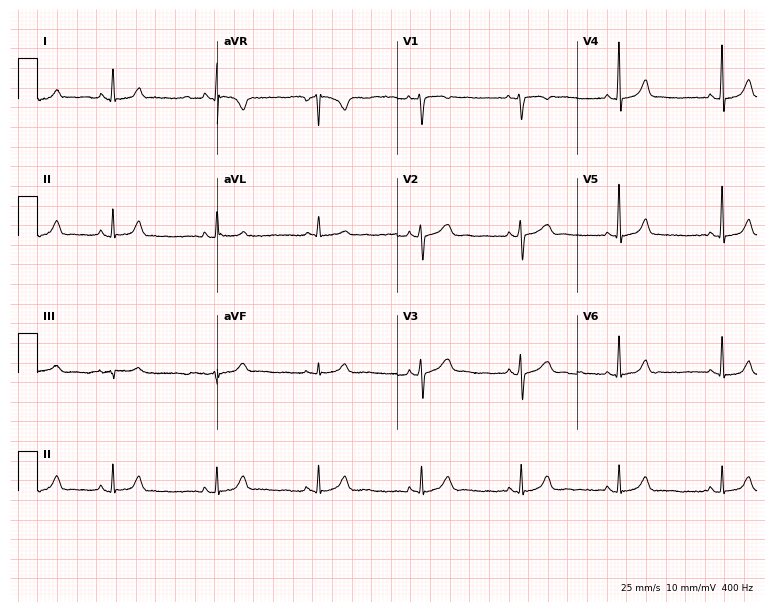
Standard 12-lead ECG recorded from a female patient, 32 years old (7.3-second recording at 400 Hz). Read as a normal ECG.